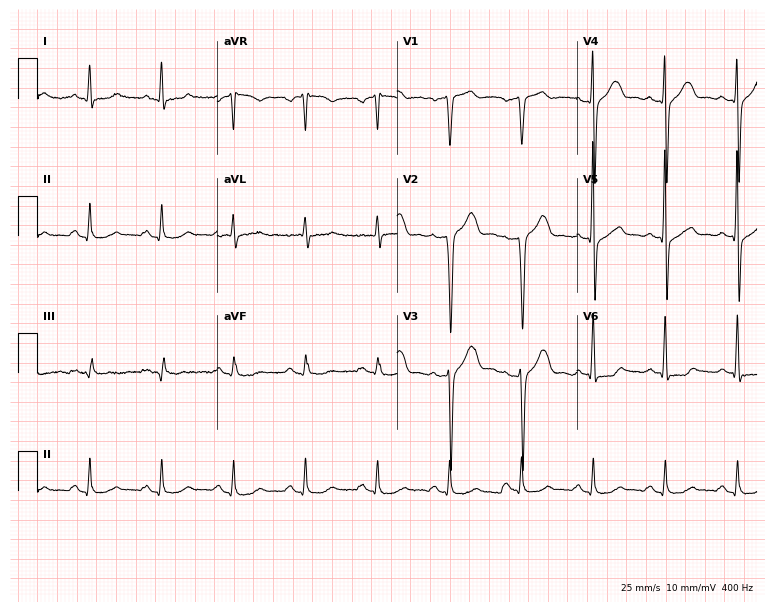
ECG (7.3-second recording at 400 Hz) — a male, 52 years old. Screened for six findings — first-degree AV block, right bundle branch block, left bundle branch block, sinus bradycardia, atrial fibrillation, sinus tachycardia — none is recorded.